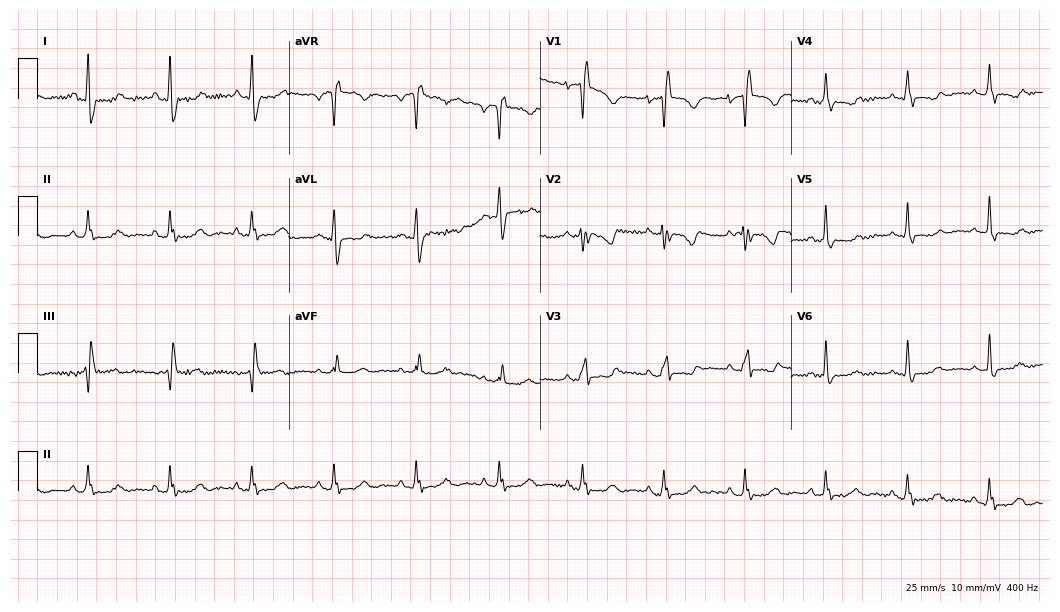
Standard 12-lead ECG recorded from a 26-year-old female patient. None of these six findings is recorded: first-degree AV block, right bundle branch block, left bundle branch block, sinus bradycardia, atrial fibrillation, sinus tachycardia. Findings outside these six are not listed.